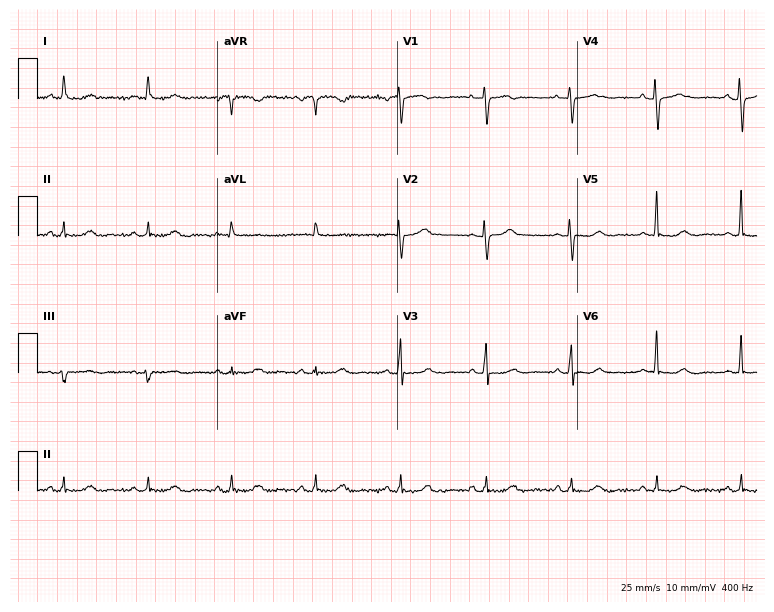
ECG (7.3-second recording at 400 Hz) — a female, 72 years old. Labelled as a normal ECG.